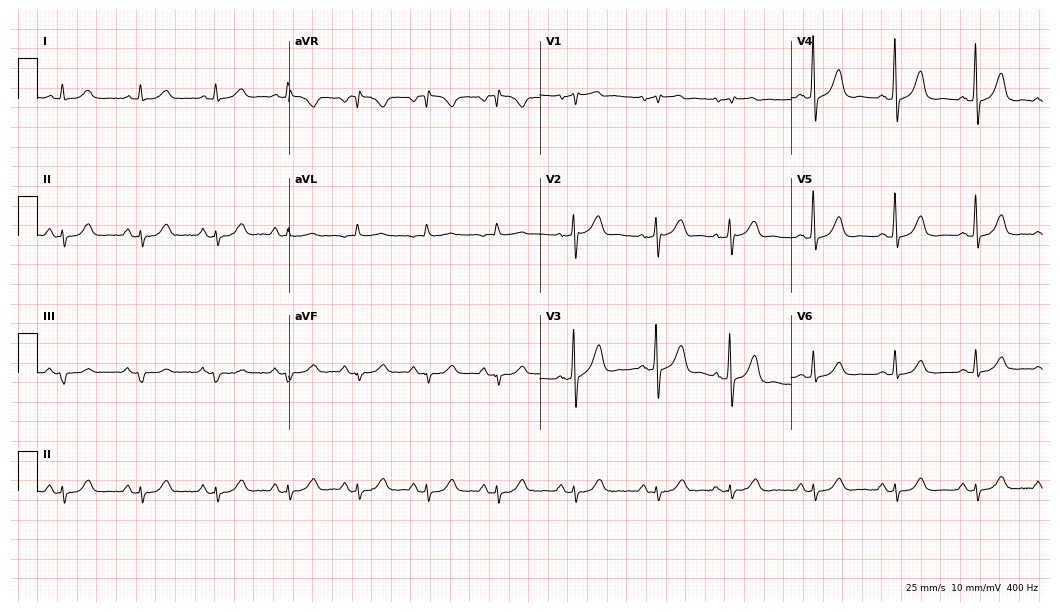
Standard 12-lead ECG recorded from an 80-year-old male (10.2-second recording at 400 Hz). None of these six findings is recorded: first-degree AV block, right bundle branch block, left bundle branch block, sinus bradycardia, atrial fibrillation, sinus tachycardia.